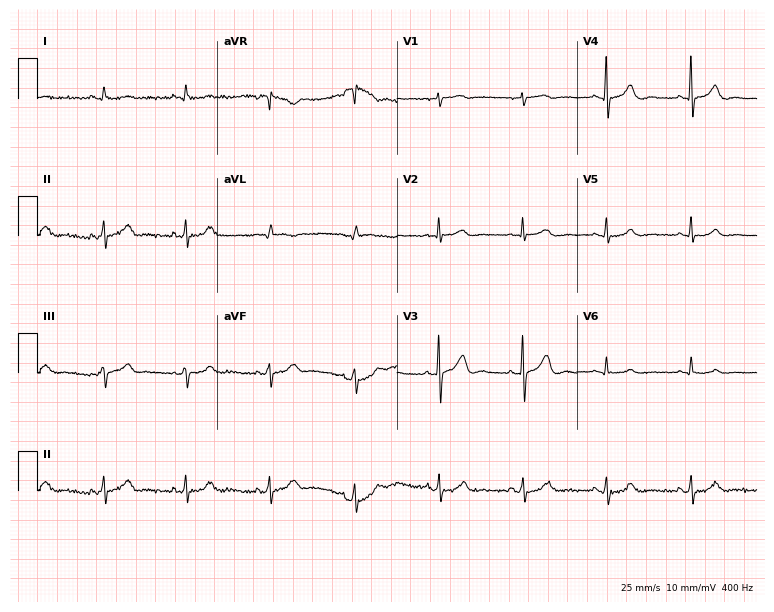
Electrocardiogram (7.3-second recording at 400 Hz), a 70-year-old male. Of the six screened findings (first-degree AV block, right bundle branch block, left bundle branch block, sinus bradycardia, atrial fibrillation, sinus tachycardia), none is recorded. Findings outside these six are not listed.